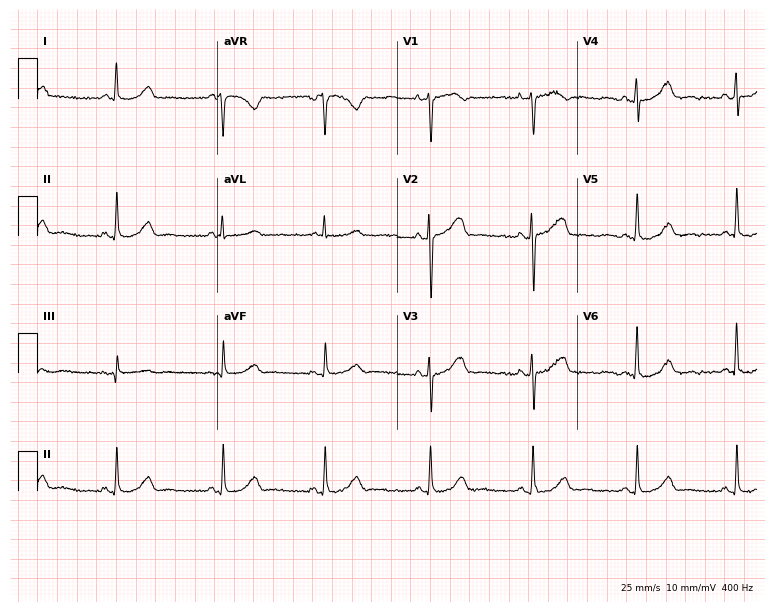
12-lead ECG from a female patient, 52 years old. Recorded interpretation: within normal limits.